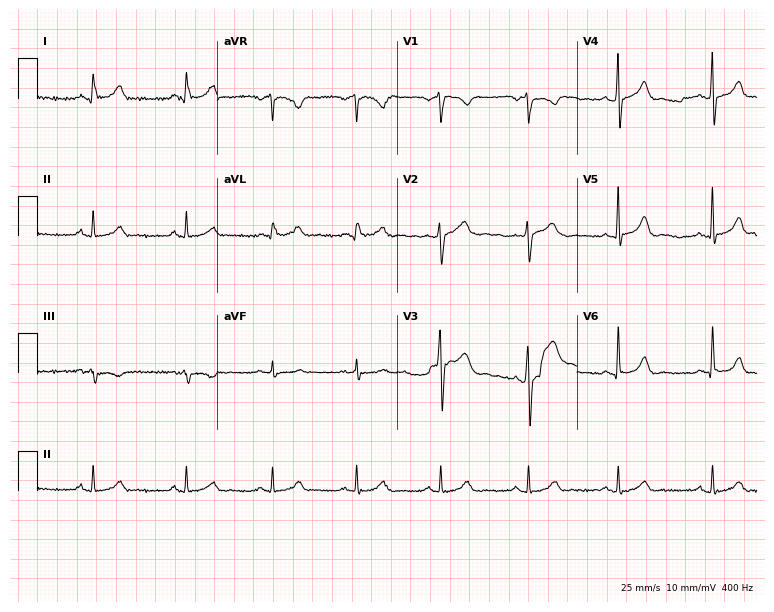
Standard 12-lead ECG recorded from a male patient, 32 years old (7.3-second recording at 400 Hz). Read as a normal ECG.